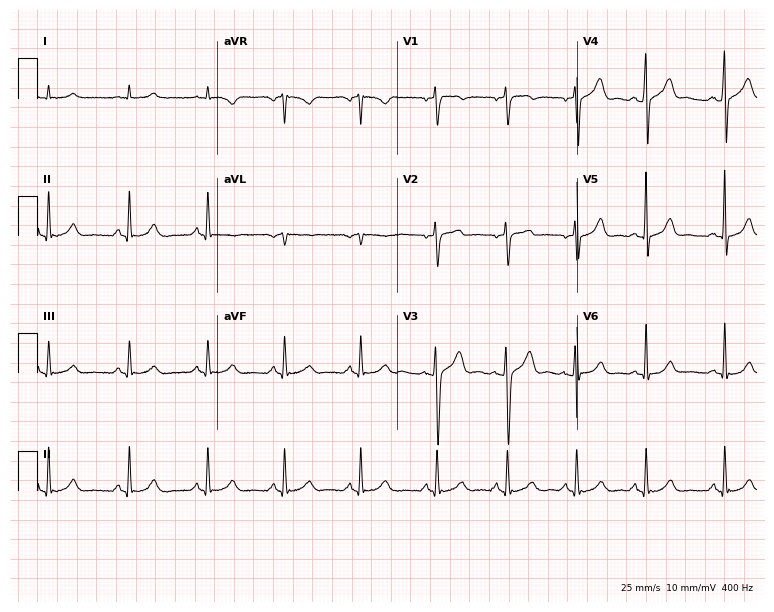
Standard 12-lead ECG recorded from a man, 19 years old. None of these six findings is recorded: first-degree AV block, right bundle branch block, left bundle branch block, sinus bradycardia, atrial fibrillation, sinus tachycardia.